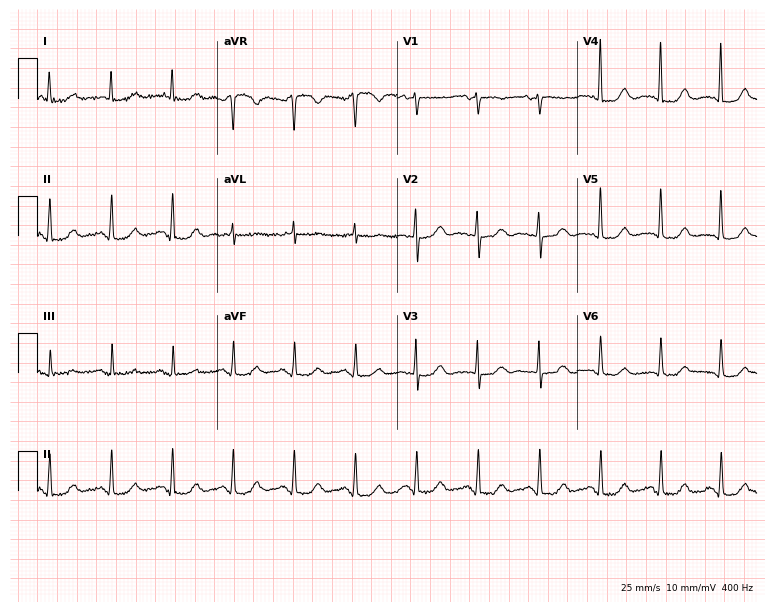
12-lead ECG (7.3-second recording at 400 Hz) from a 77-year-old woman. Screened for six findings — first-degree AV block, right bundle branch block, left bundle branch block, sinus bradycardia, atrial fibrillation, sinus tachycardia — none is recorded.